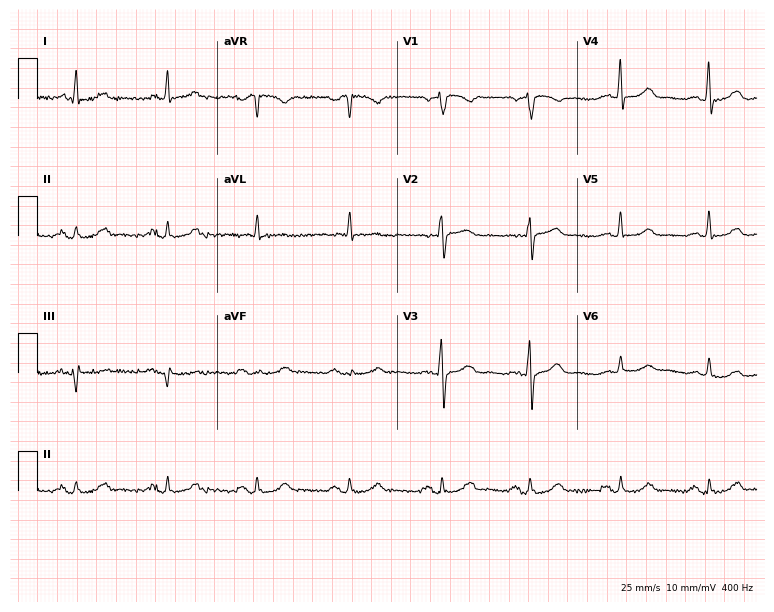
Standard 12-lead ECG recorded from a 66-year-old female (7.3-second recording at 400 Hz). Read as a normal ECG.